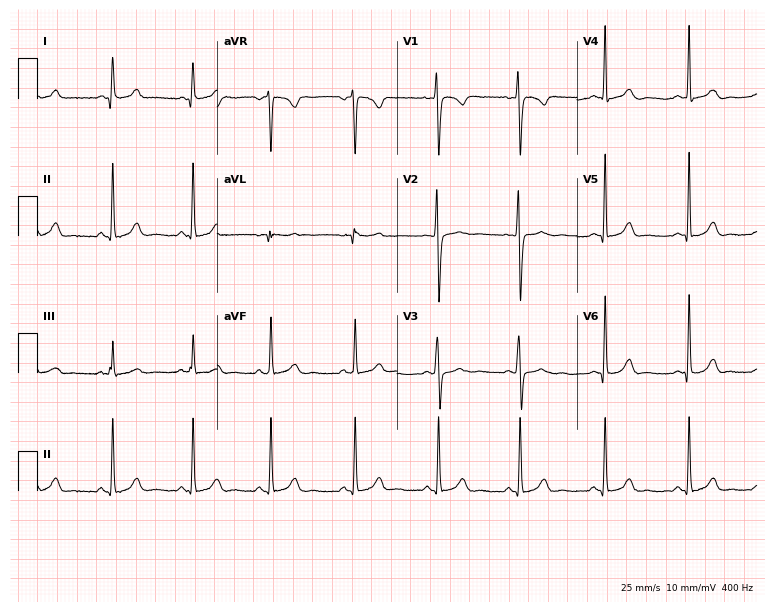
12-lead ECG (7.3-second recording at 400 Hz) from a female patient, 36 years old. Labelled as a normal ECG.